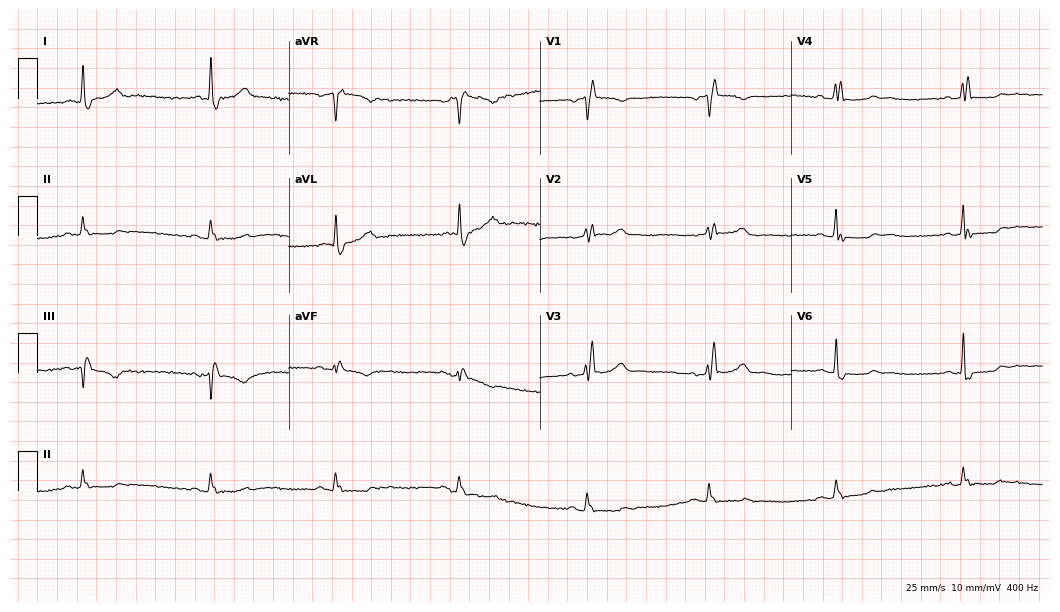
12-lead ECG from a male, 67 years old (10.2-second recording at 400 Hz). No first-degree AV block, right bundle branch block, left bundle branch block, sinus bradycardia, atrial fibrillation or sinus tachycardia recorded for this tracing. Findings outside these six are not listed.